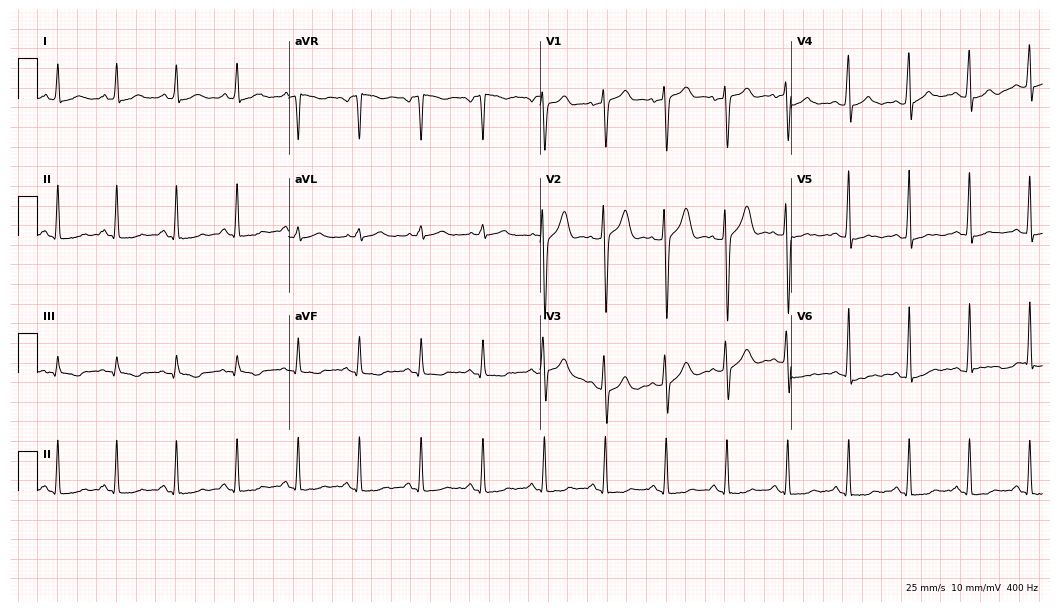
ECG — a 47-year-old man. Screened for six findings — first-degree AV block, right bundle branch block, left bundle branch block, sinus bradycardia, atrial fibrillation, sinus tachycardia — none is recorded. Other findings, if any, are not listed.